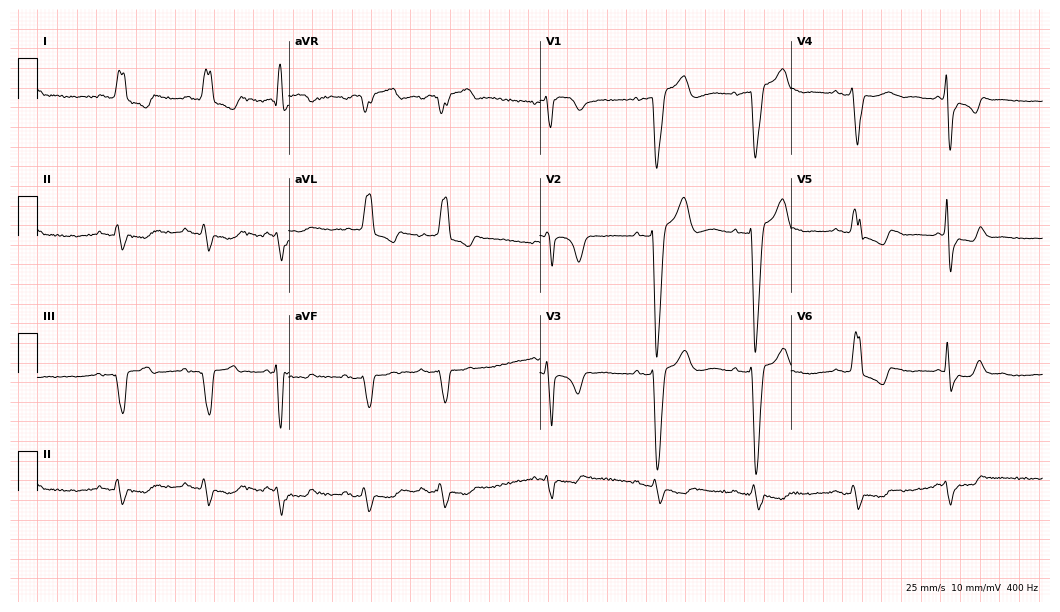
12-lead ECG from a 79-year-old male patient (10.2-second recording at 400 Hz). Shows left bundle branch block (LBBB).